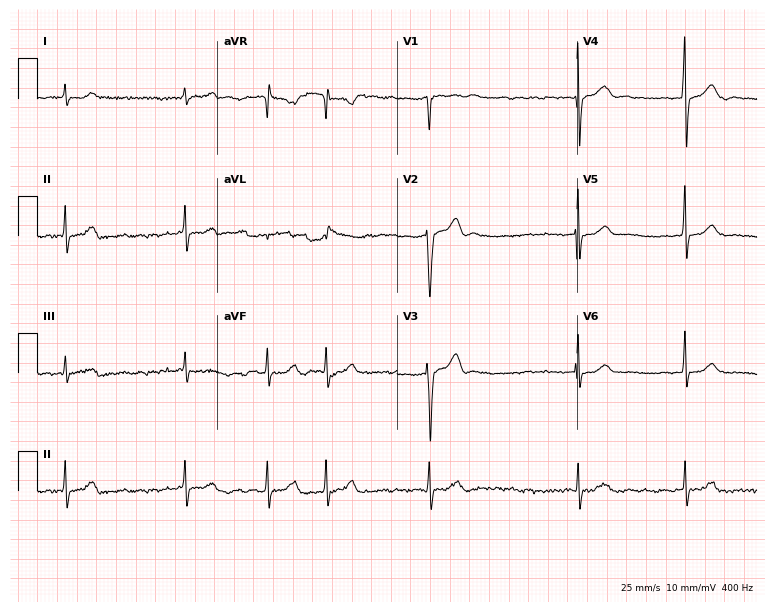
Standard 12-lead ECG recorded from a male patient, 64 years old (7.3-second recording at 400 Hz). The tracing shows atrial fibrillation (AF).